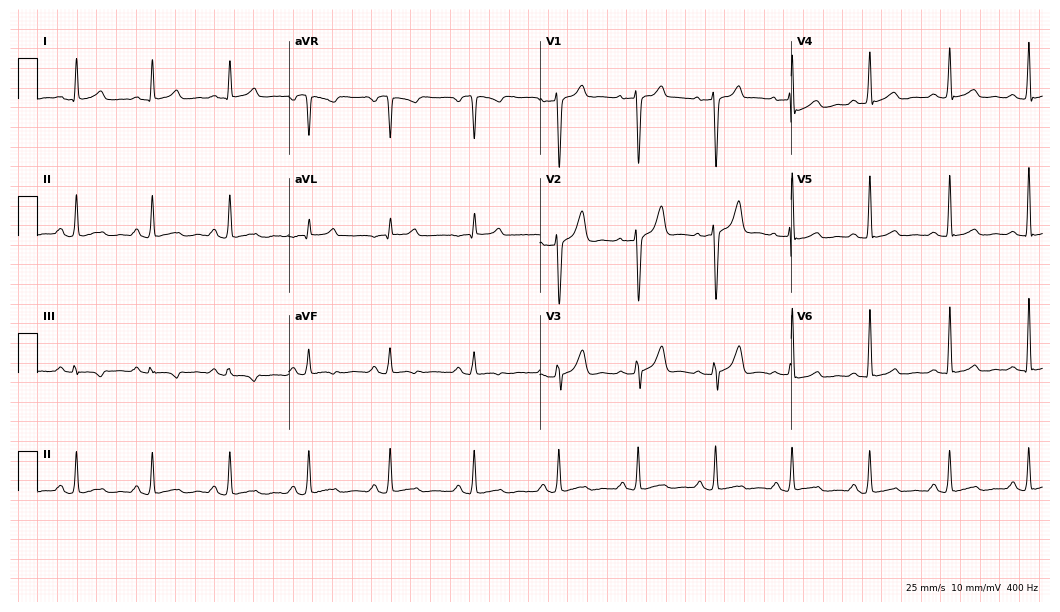
Resting 12-lead electrocardiogram. Patient: a 28-year-old man. None of these six findings is recorded: first-degree AV block, right bundle branch block (RBBB), left bundle branch block (LBBB), sinus bradycardia, atrial fibrillation (AF), sinus tachycardia.